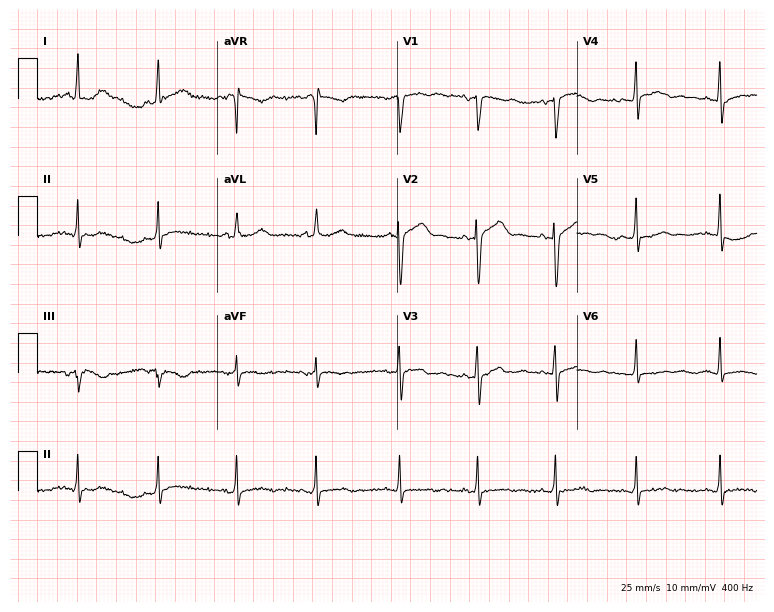
12-lead ECG from a woman, 51 years old. No first-degree AV block, right bundle branch block (RBBB), left bundle branch block (LBBB), sinus bradycardia, atrial fibrillation (AF) or sinus tachycardia recorded for this tracing.